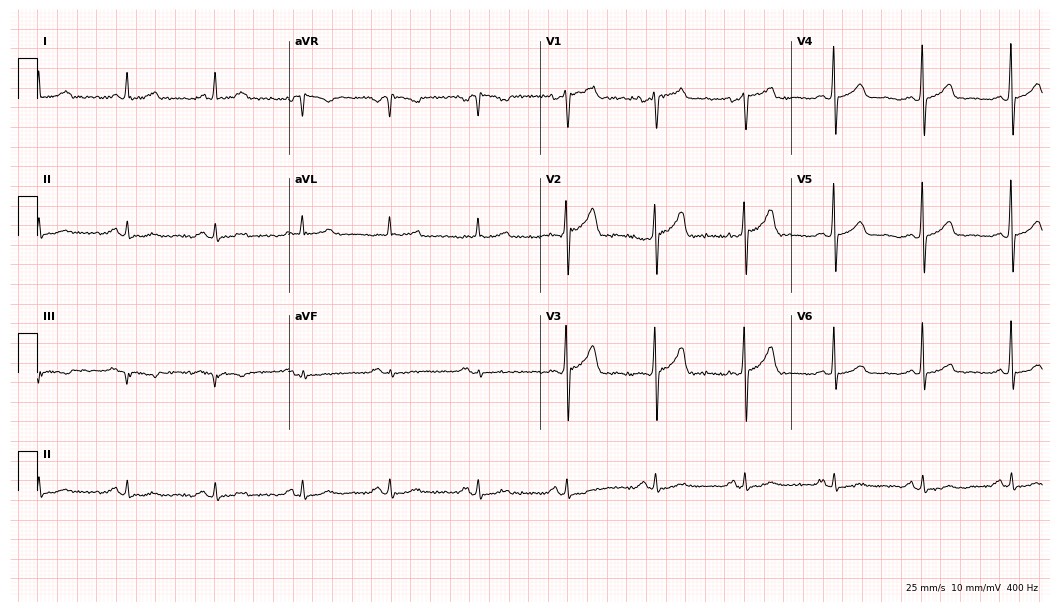
ECG — a 60-year-old male. Screened for six findings — first-degree AV block, right bundle branch block, left bundle branch block, sinus bradycardia, atrial fibrillation, sinus tachycardia — none is recorded.